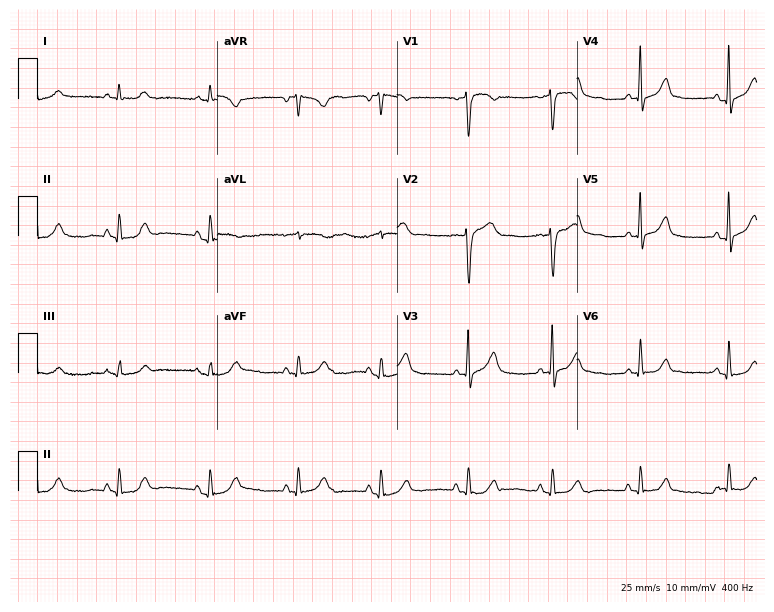
Electrocardiogram (7.3-second recording at 400 Hz), a female, 43 years old. Of the six screened findings (first-degree AV block, right bundle branch block (RBBB), left bundle branch block (LBBB), sinus bradycardia, atrial fibrillation (AF), sinus tachycardia), none is recorded. Only these six findings were labelled.